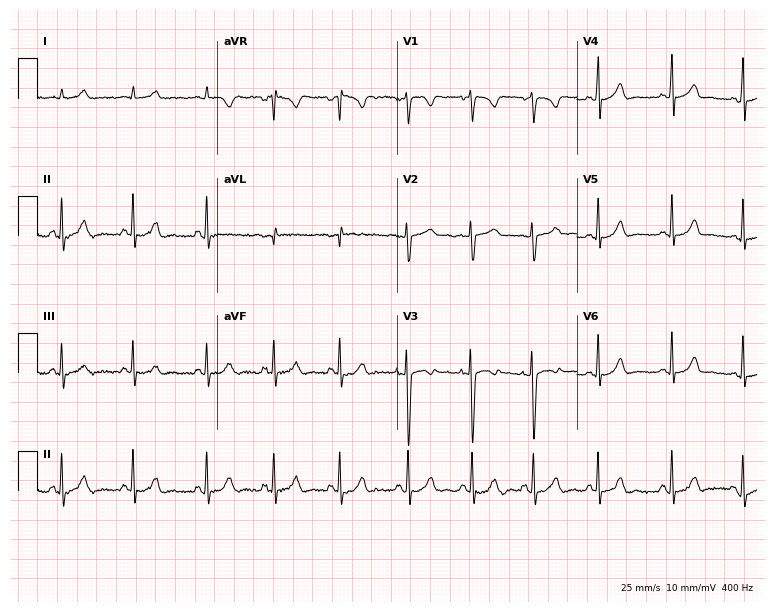
Standard 12-lead ECG recorded from a 19-year-old female patient. Read as a normal ECG.